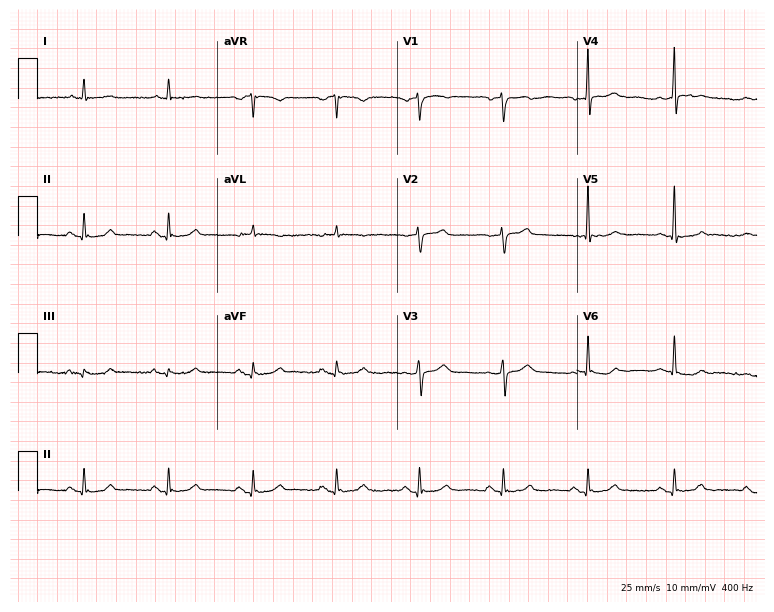
12-lead ECG from a man, 76 years old (7.3-second recording at 400 Hz). No first-degree AV block, right bundle branch block (RBBB), left bundle branch block (LBBB), sinus bradycardia, atrial fibrillation (AF) or sinus tachycardia recorded for this tracing. Findings outside these six are not listed.